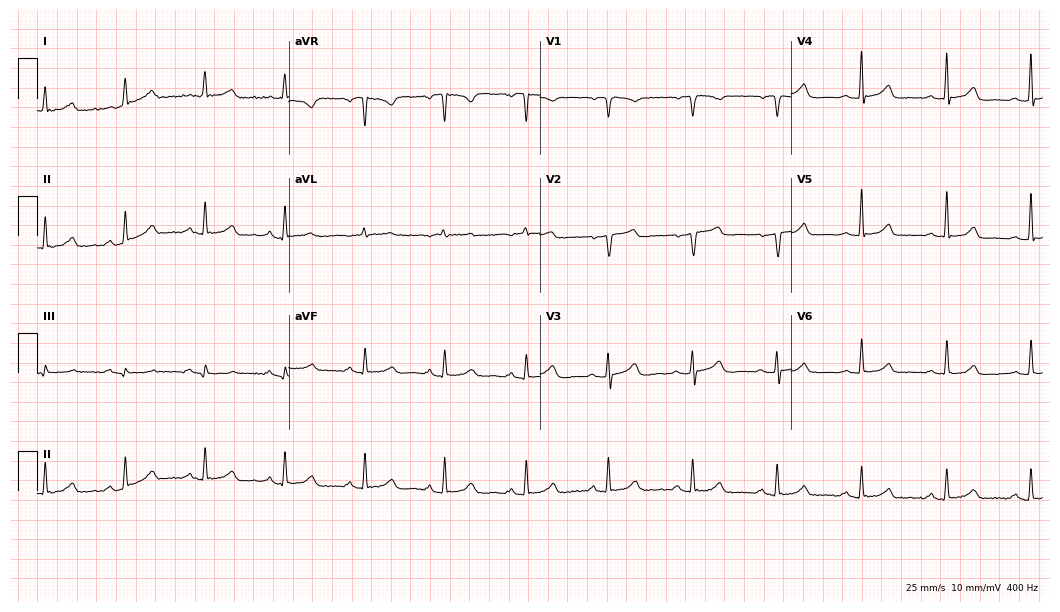
Resting 12-lead electrocardiogram. Patient: a 75-year-old woman. None of these six findings is recorded: first-degree AV block, right bundle branch block, left bundle branch block, sinus bradycardia, atrial fibrillation, sinus tachycardia. Only these six findings were labelled.